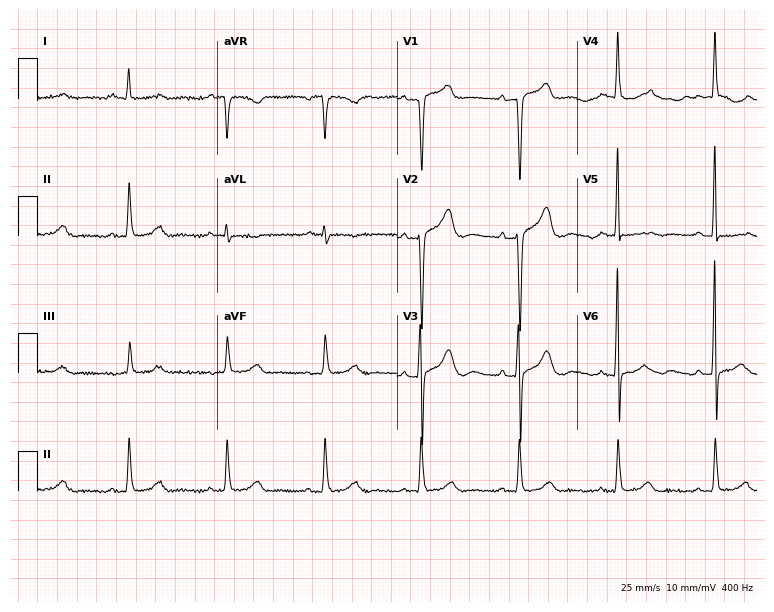
Resting 12-lead electrocardiogram (7.3-second recording at 400 Hz). Patient: a man, 69 years old. Read as a normal ECG.